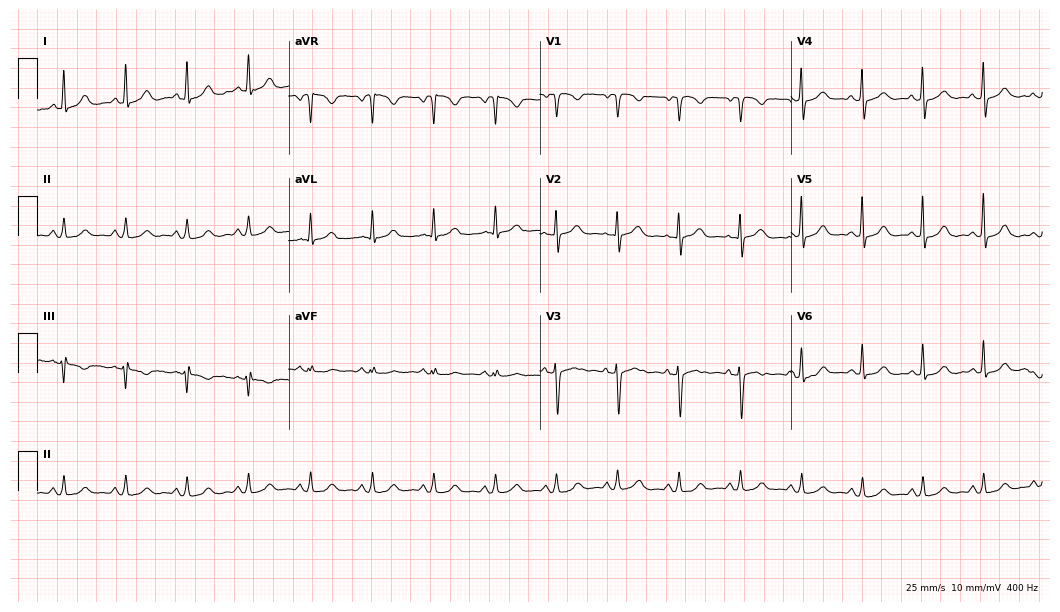
Resting 12-lead electrocardiogram (10.2-second recording at 400 Hz). Patient: a woman, 50 years old. Read as a normal ECG.